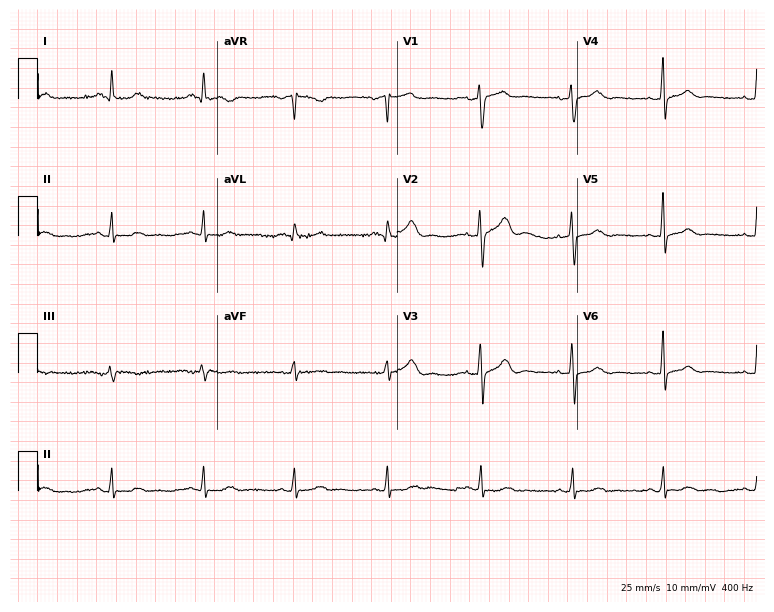
Resting 12-lead electrocardiogram. Patient: a female, 46 years old. None of these six findings is recorded: first-degree AV block, right bundle branch block, left bundle branch block, sinus bradycardia, atrial fibrillation, sinus tachycardia.